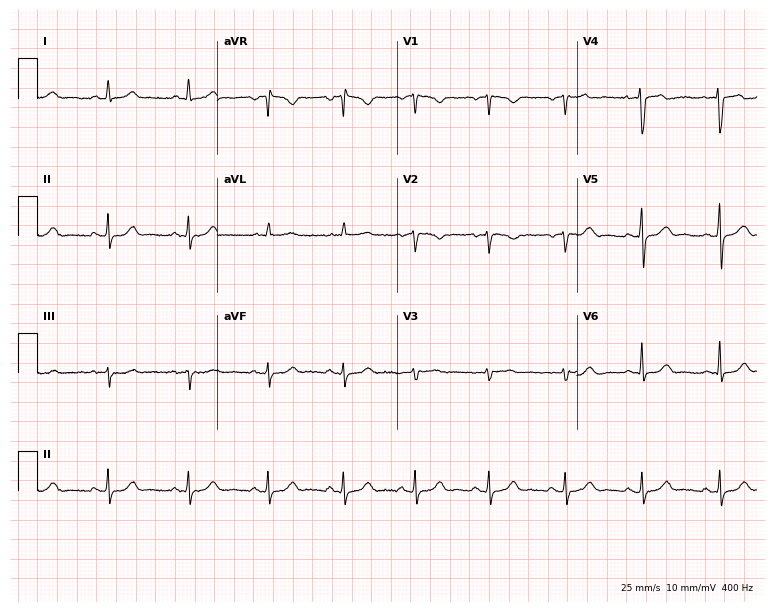
ECG (7.3-second recording at 400 Hz) — a female, 61 years old. Labelled as a normal ECG.